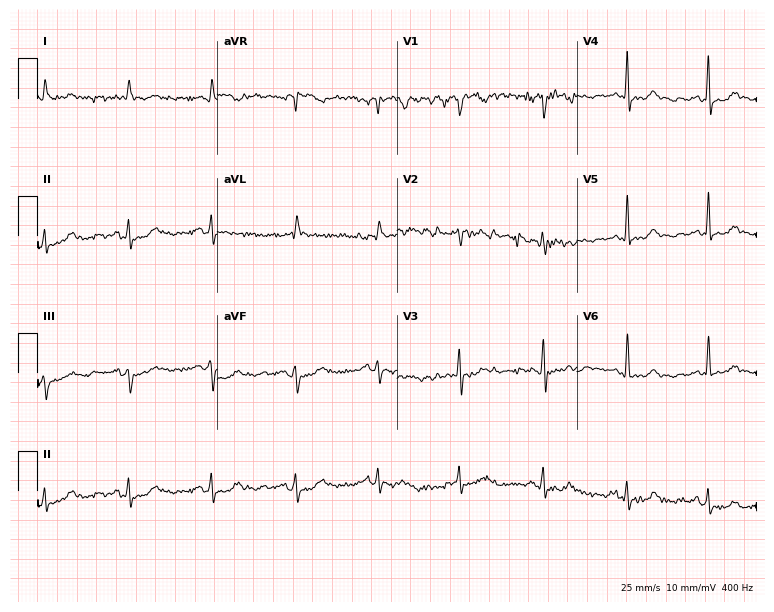
Standard 12-lead ECG recorded from a woman, 75 years old. None of these six findings is recorded: first-degree AV block, right bundle branch block, left bundle branch block, sinus bradycardia, atrial fibrillation, sinus tachycardia. Other findings, if any, are not listed.